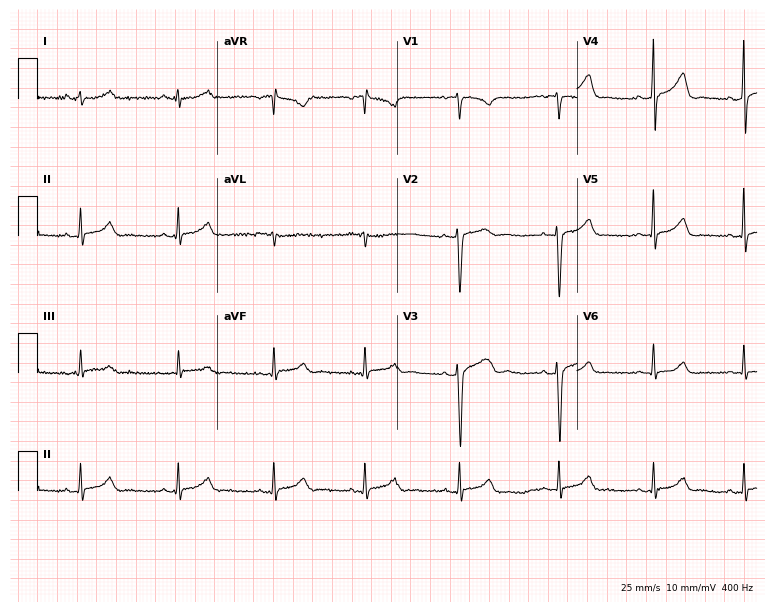
Resting 12-lead electrocardiogram. Patient: a female, 35 years old. None of these six findings is recorded: first-degree AV block, right bundle branch block, left bundle branch block, sinus bradycardia, atrial fibrillation, sinus tachycardia. Findings outside these six are not listed.